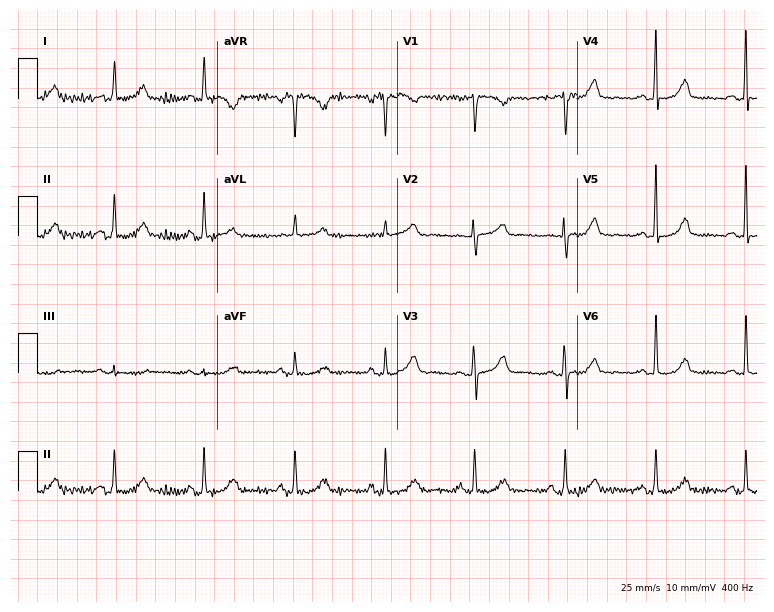
12-lead ECG (7.3-second recording at 400 Hz) from a woman, 61 years old. Labelled as a normal ECG.